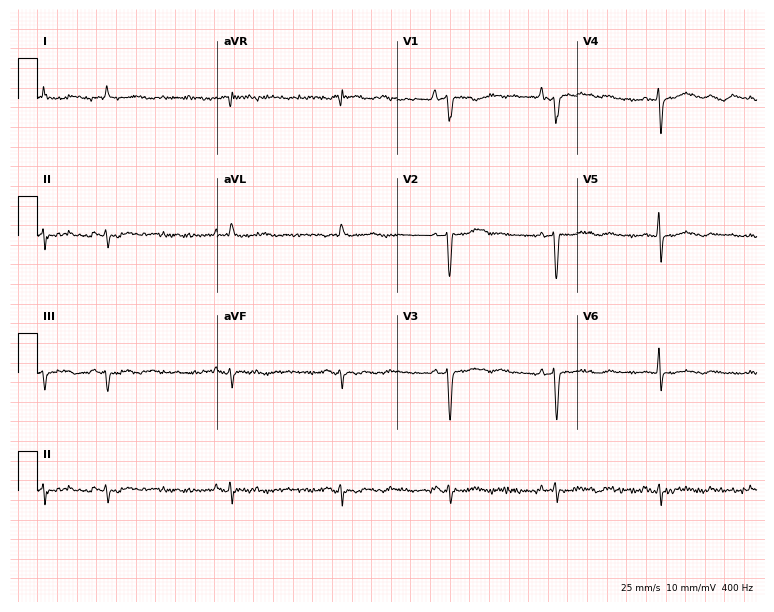
12-lead ECG from a woman, 82 years old. No first-degree AV block, right bundle branch block, left bundle branch block, sinus bradycardia, atrial fibrillation or sinus tachycardia recorded for this tracing. Findings outside these six are not listed.